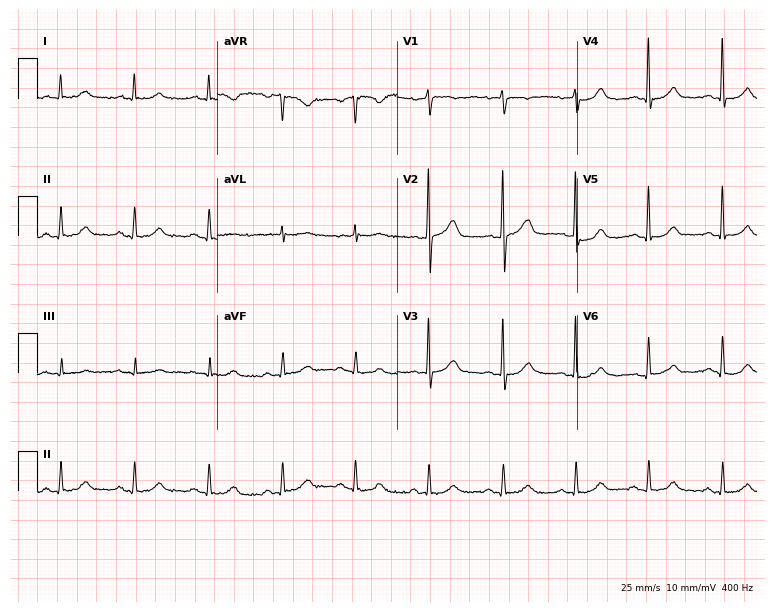
12-lead ECG from a woman, 64 years old. Recorded interpretation: within normal limits.